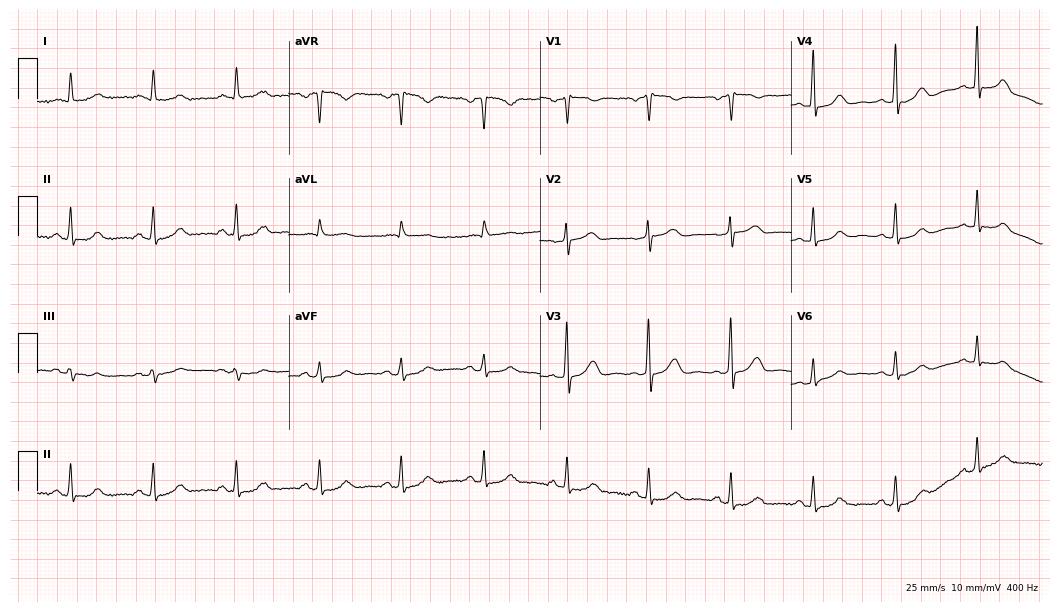
12-lead ECG from a female, 50 years old. Labelled as a normal ECG.